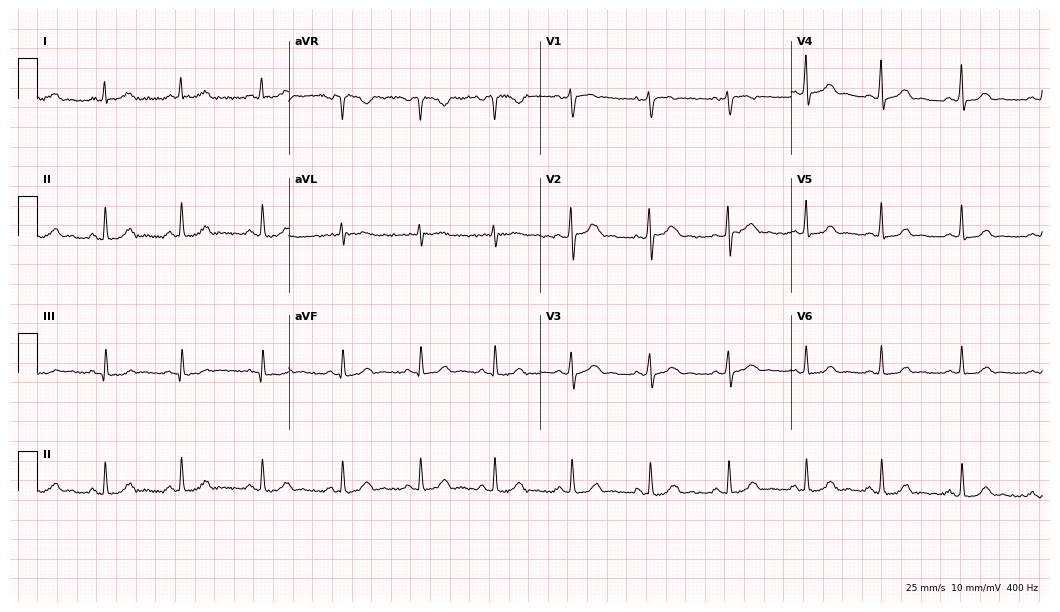
Standard 12-lead ECG recorded from a female, 35 years old (10.2-second recording at 400 Hz). Read as a normal ECG.